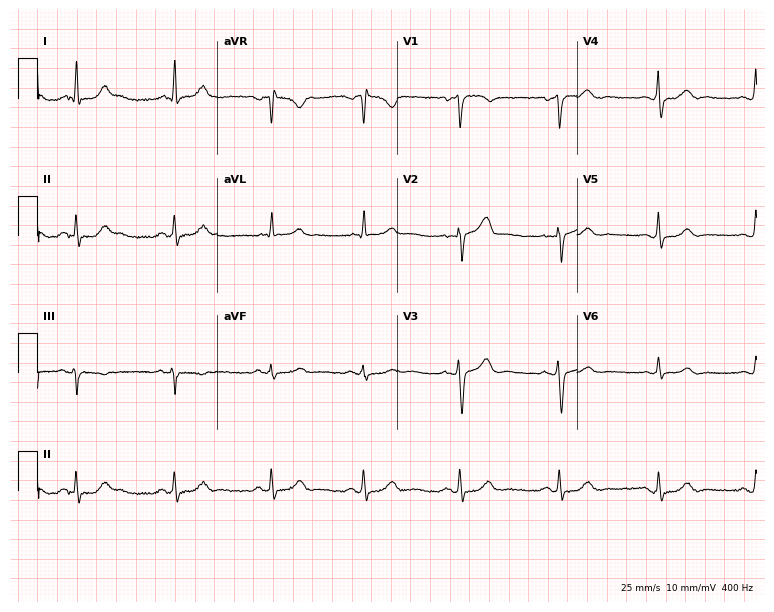
Standard 12-lead ECG recorded from a man, 62 years old (7.3-second recording at 400 Hz). Read as a normal ECG.